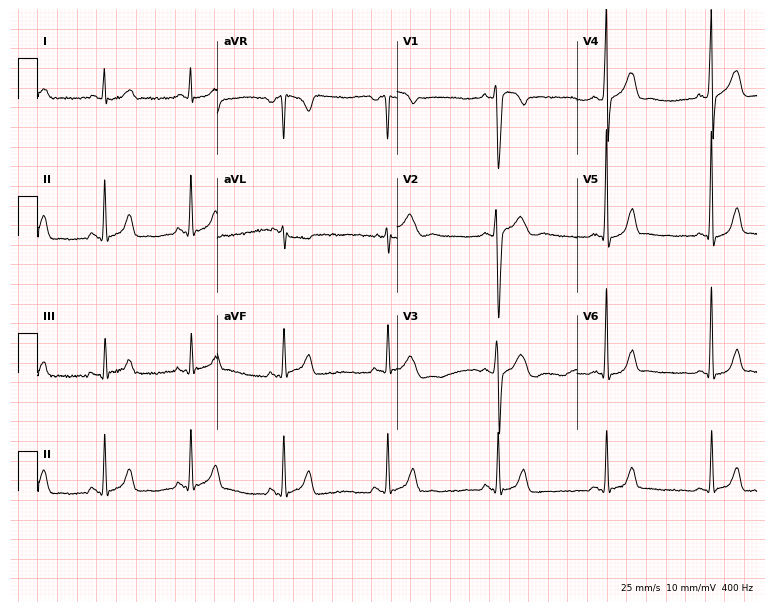
ECG (7.3-second recording at 400 Hz) — a male, 27 years old. Screened for six findings — first-degree AV block, right bundle branch block, left bundle branch block, sinus bradycardia, atrial fibrillation, sinus tachycardia — none is recorded.